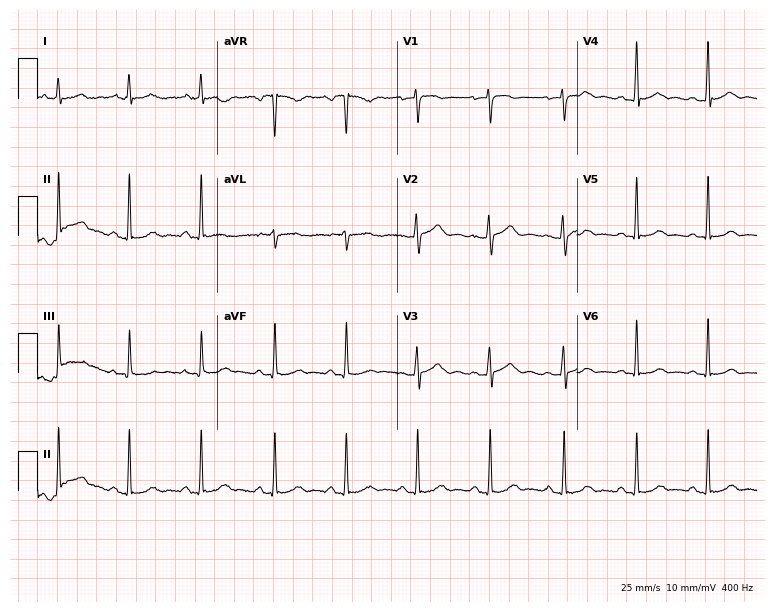
12-lead ECG from a female patient, 32 years old. Recorded interpretation: within normal limits.